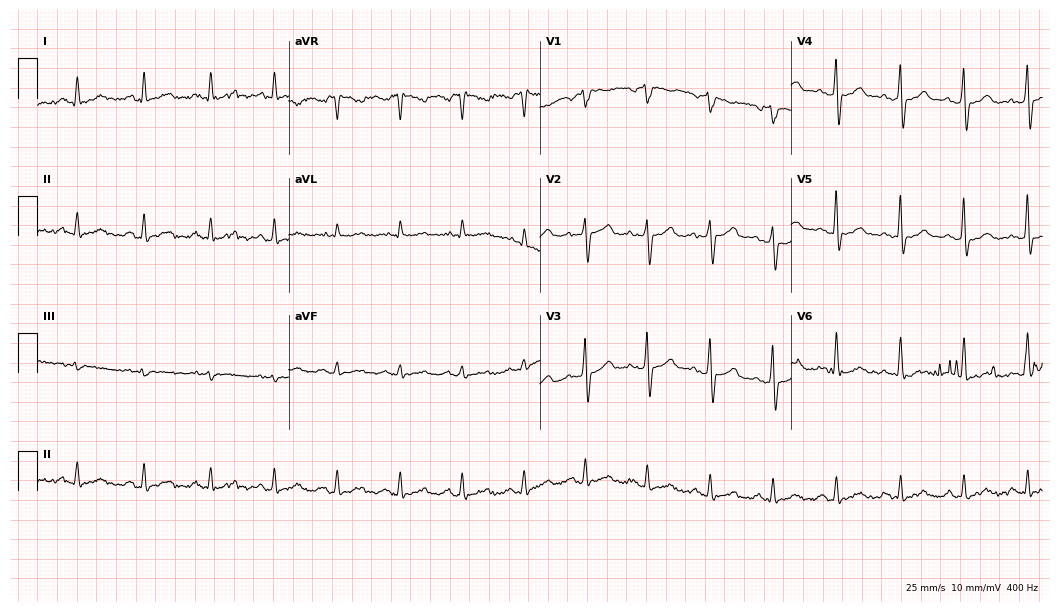
Standard 12-lead ECG recorded from a 46-year-old male patient (10.2-second recording at 400 Hz). None of these six findings is recorded: first-degree AV block, right bundle branch block, left bundle branch block, sinus bradycardia, atrial fibrillation, sinus tachycardia.